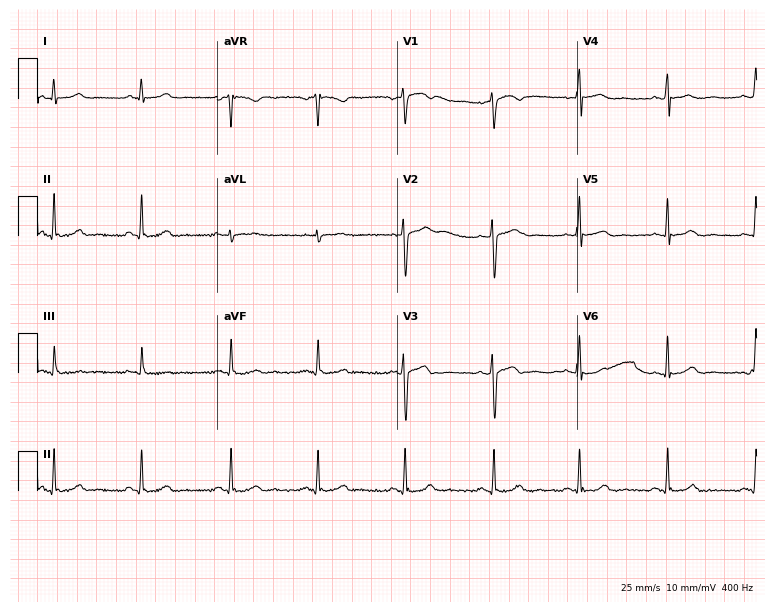
ECG — a 32-year-old female patient. Labelled as a normal ECG.